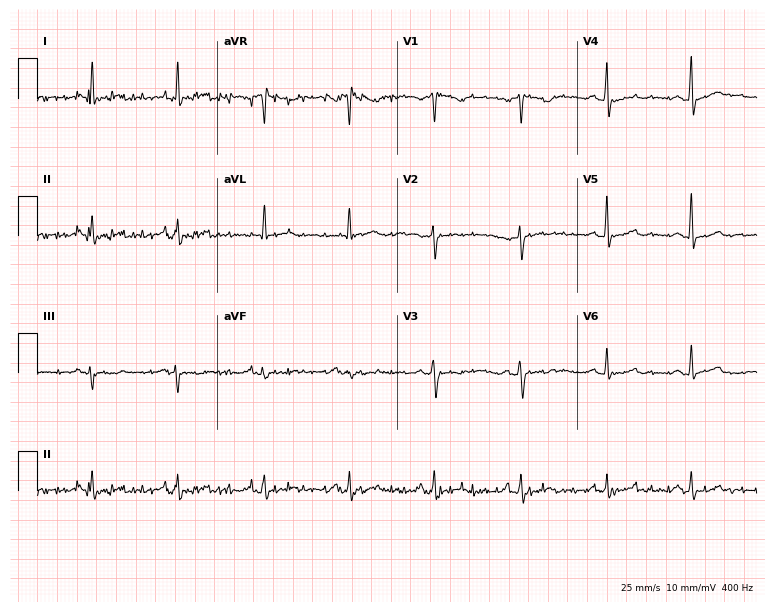
Standard 12-lead ECG recorded from a female, 44 years old (7.3-second recording at 400 Hz). None of these six findings is recorded: first-degree AV block, right bundle branch block, left bundle branch block, sinus bradycardia, atrial fibrillation, sinus tachycardia.